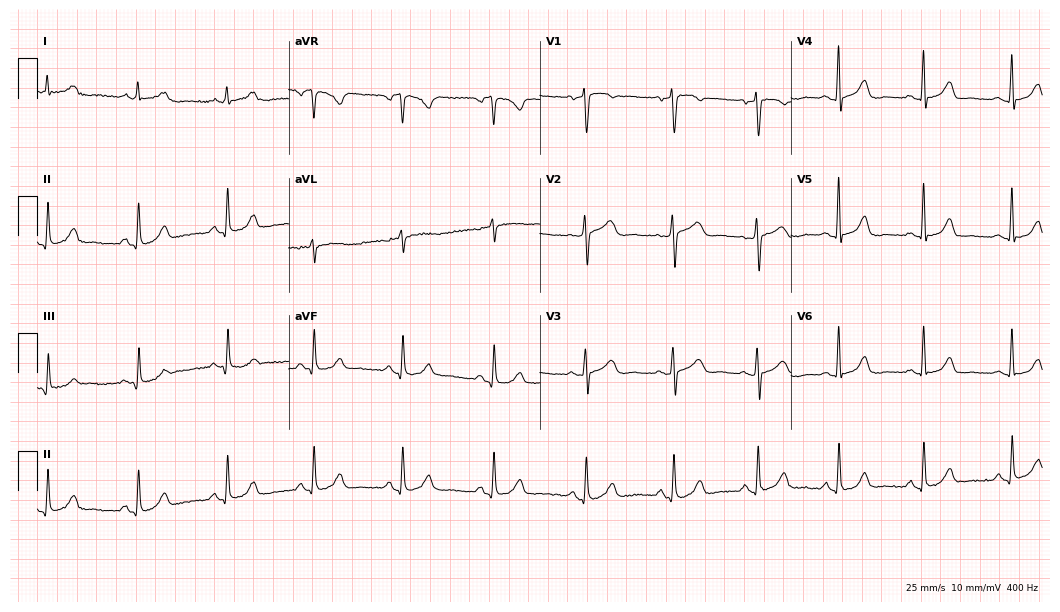
ECG (10.2-second recording at 400 Hz) — a 55-year-old female. Labelled as a normal ECG.